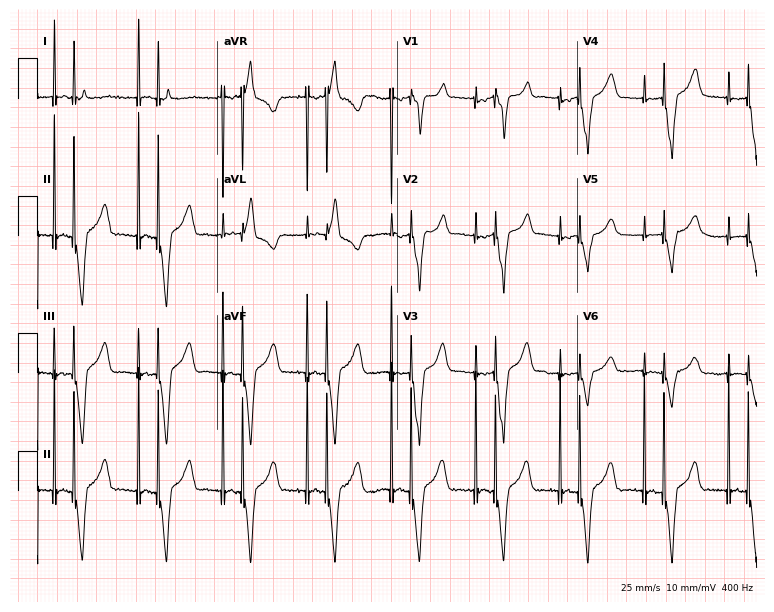
12-lead ECG from a male patient, 76 years old. Screened for six findings — first-degree AV block, right bundle branch block (RBBB), left bundle branch block (LBBB), sinus bradycardia, atrial fibrillation (AF), sinus tachycardia — none is recorded.